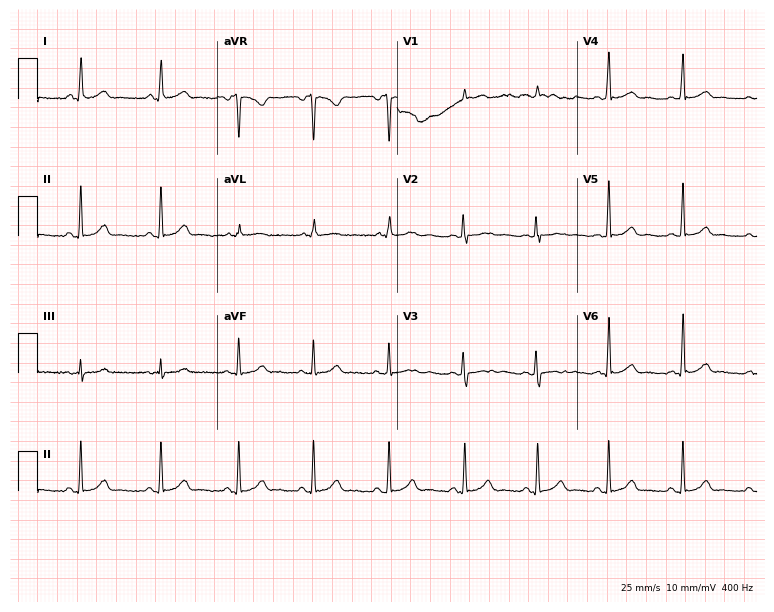
Standard 12-lead ECG recorded from a female patient, 21 years old (7.3-second recording at 400 Hz). Read as a normal ECG.